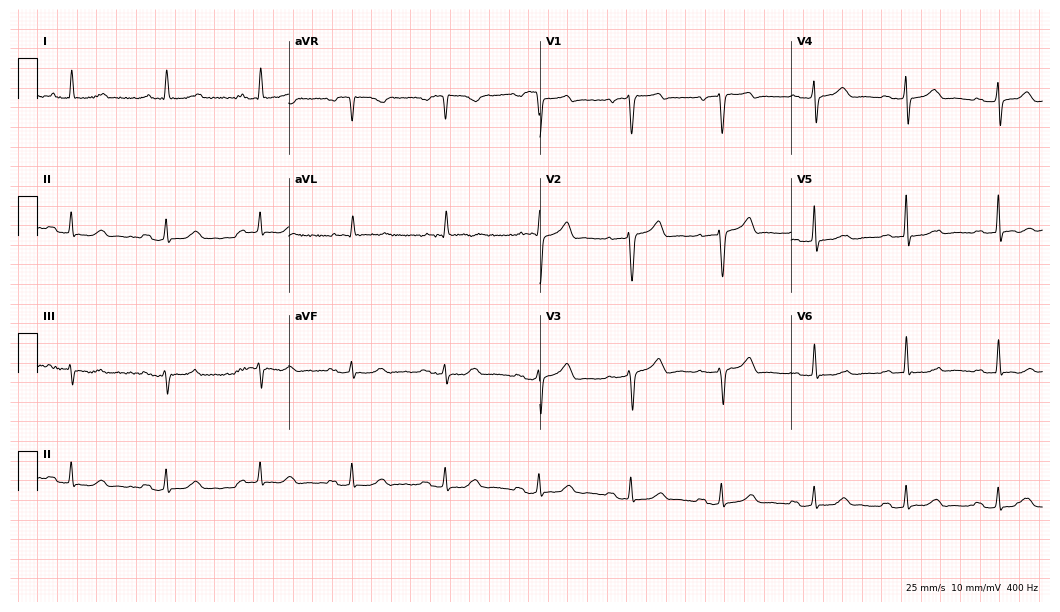
Resting 12-lead electrocardiogram (10.2-second recording at 400 Hz). Patient: a 69-year-old male. The tracing shows first-degree AV block.